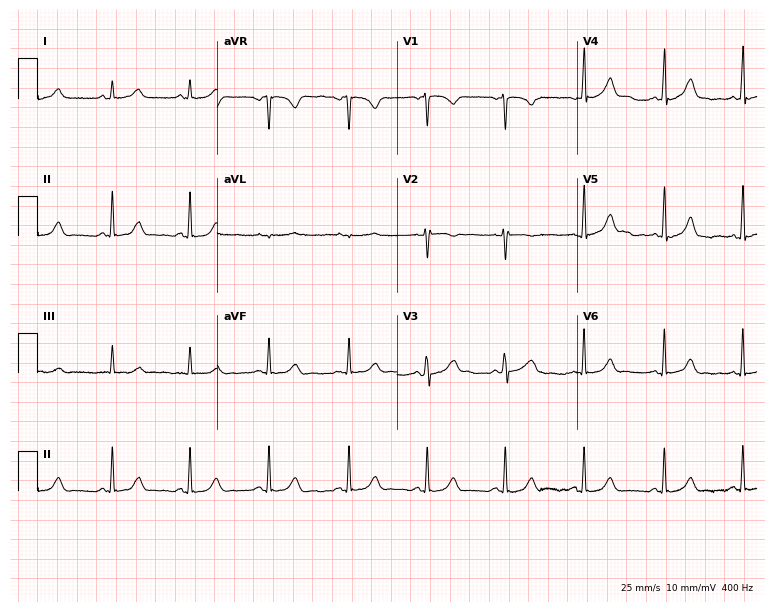
ECG — a 45-year-old woman. Labelled as a normal ECG.